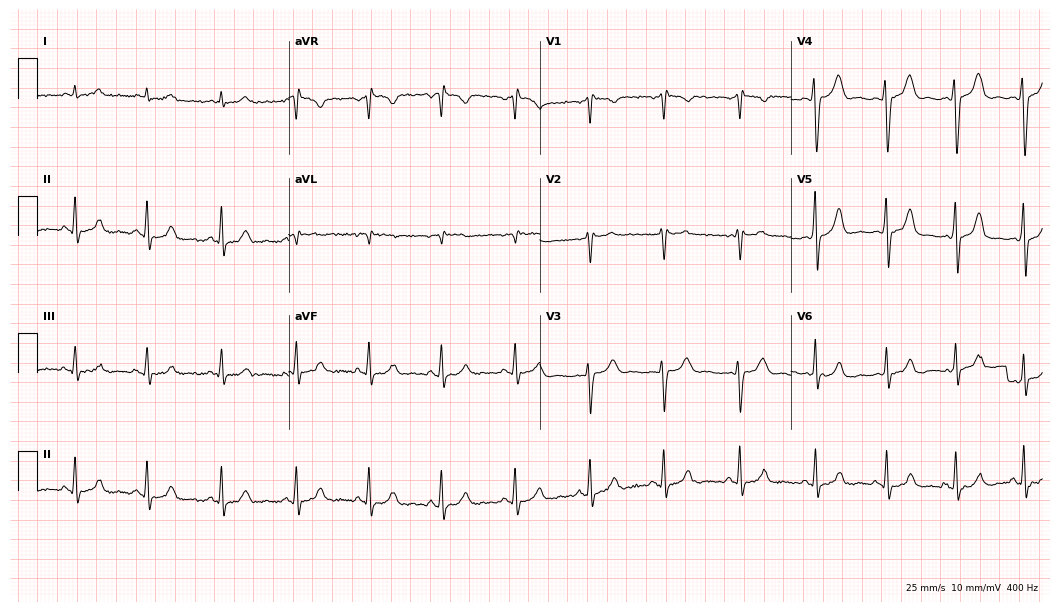
Electrocardiogram (10.2-second recording at 400 Hz), a woman, 38 years old. Of the six screened findings (first-degree AV block, right bundle branch block, left bundle branch block, sinus bradycardia, atrial fibrillation, sinus tachycardia), none is recorded.